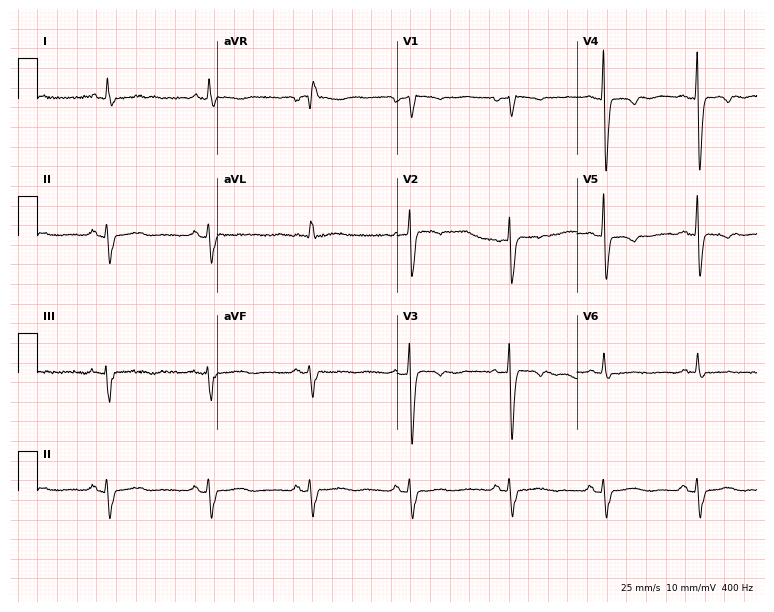
12-lead ECG (7.3-second recording at 400 Hz) from a 61-year-old female patient. Screened for six findings — first-degree AV block, right bundle branch block, left bundle branch block, sinus bradycardia, atrial fibrillation, sinus tachycardia — none is recorded.